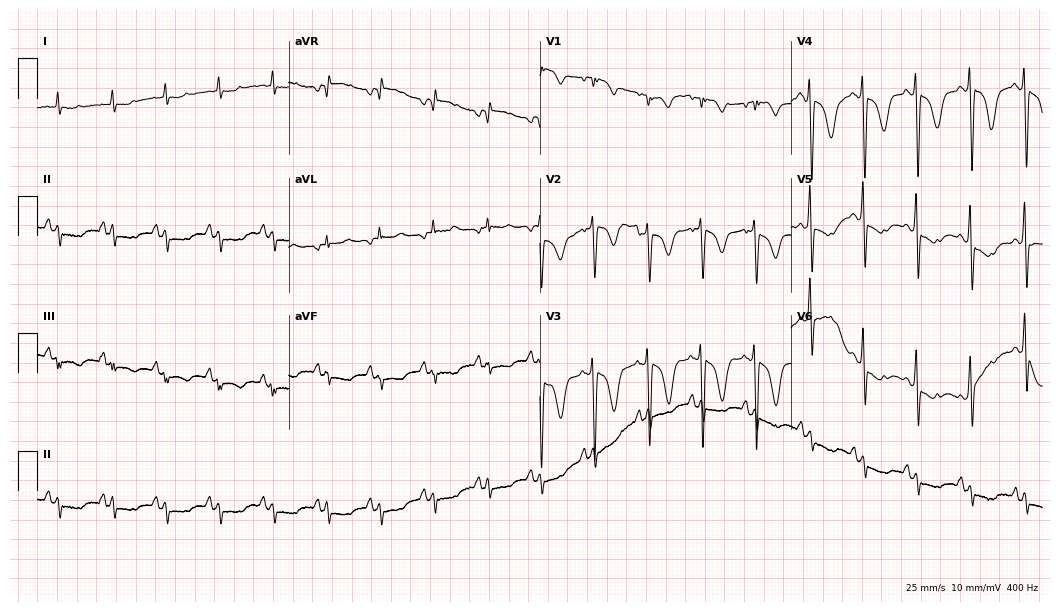
Standard 12-lead ECG recorded from a 79-year-old female patient (10.2-second recording at 400 Hz). The tracing shows sinus tachycardia (a sinus rate of 100 beats per minute or more).